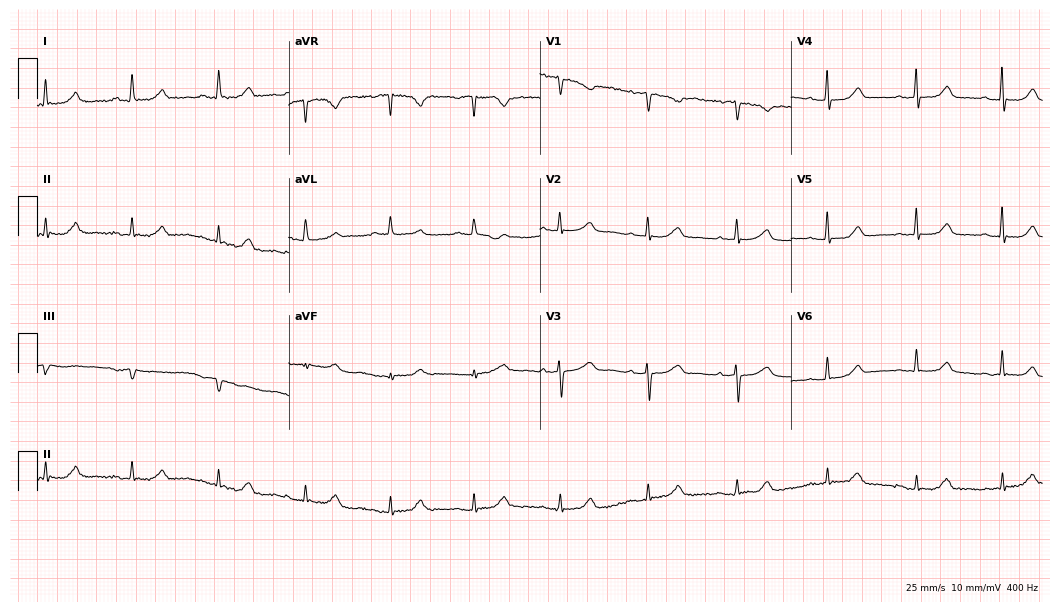
12-lead ECG from a 70-year-old female (10.2-second recording at 400 Hz). No first-degree AV block, right bundle branch block (RBBB), left bundle branch block (LBBB), sinus bradycardia, atrial fibrillation (AF) or sinus tachycardia recorded for this tracing. Findings outside these six are not listed.